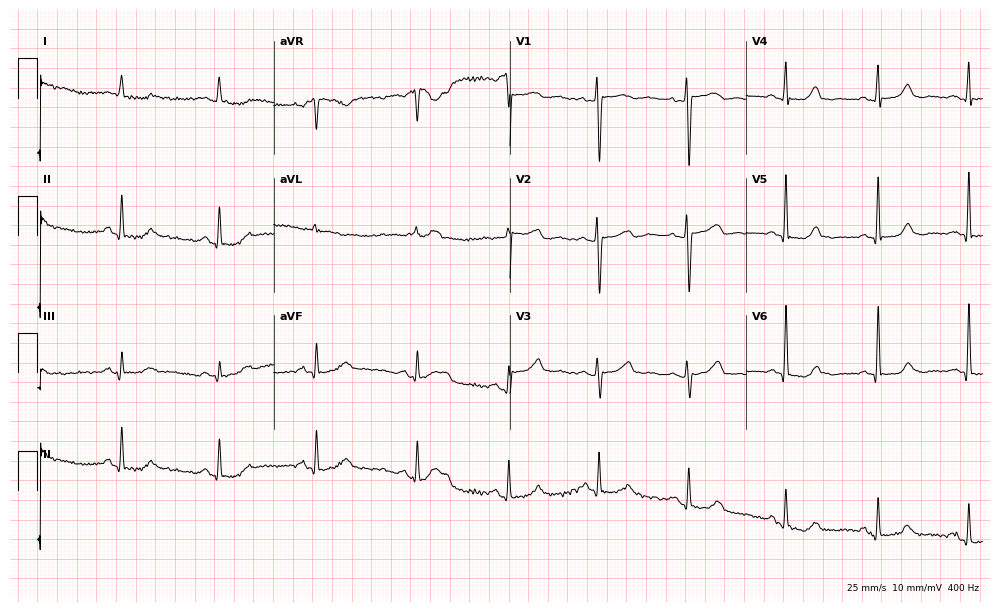
12-lead ECG from an 82-year-old female patient. Labelled as a normal ECG.